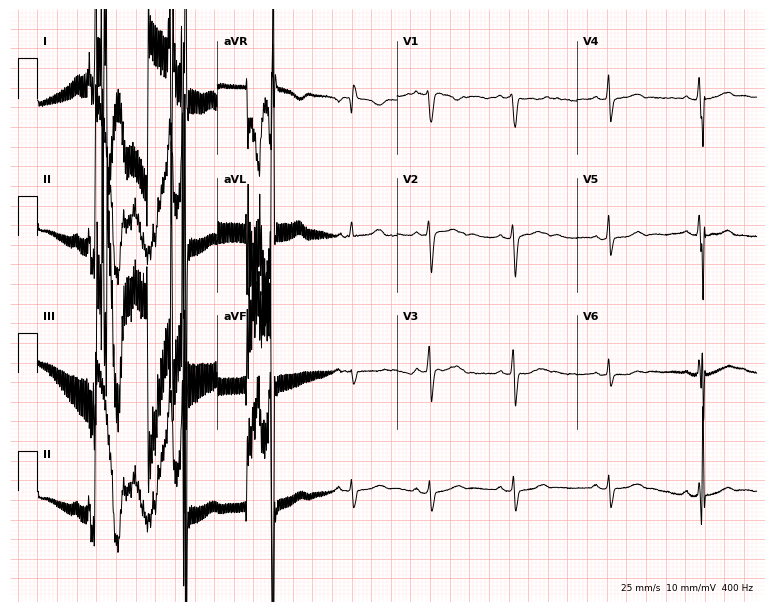
ECG — a 20-year-old female patient. Screened for six findings — first-degree AV block, right bundle branch block, left bundle branch block, sinus bradycardia, atrial fibrillation, sinus tachycardia — none is recorded.